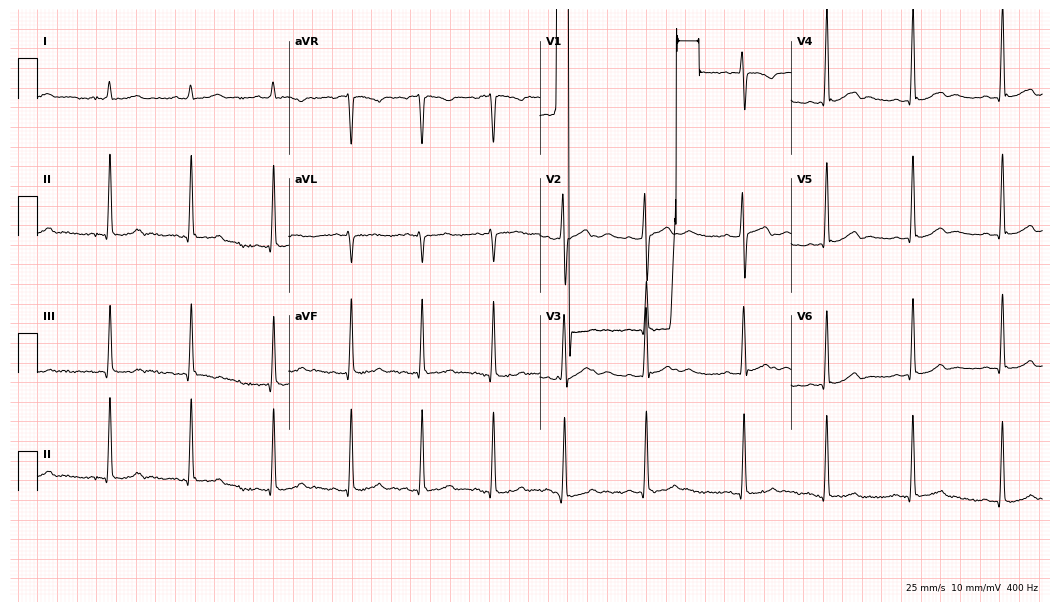
ECG — a 17-year-old female patient. Screened for six findings — first-degree AV block, right bundle branch block, left bundle branch block, sinus bradycardia, atrial fibrillation, sinus tachycardia — none is recorded.